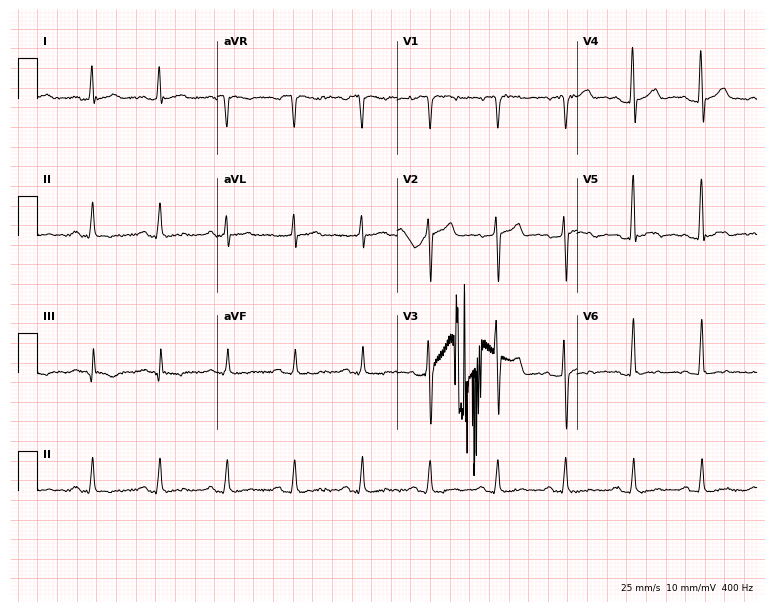
12-lead ECG from a male patient, 50 years old. Screened for six findings — first-degree AV block, right bundle branch block, left bundle branch block, sinus bradycardia, atrial fibrillation, sinus tachycardia — none is recorded. Findings outside these six are not listed.